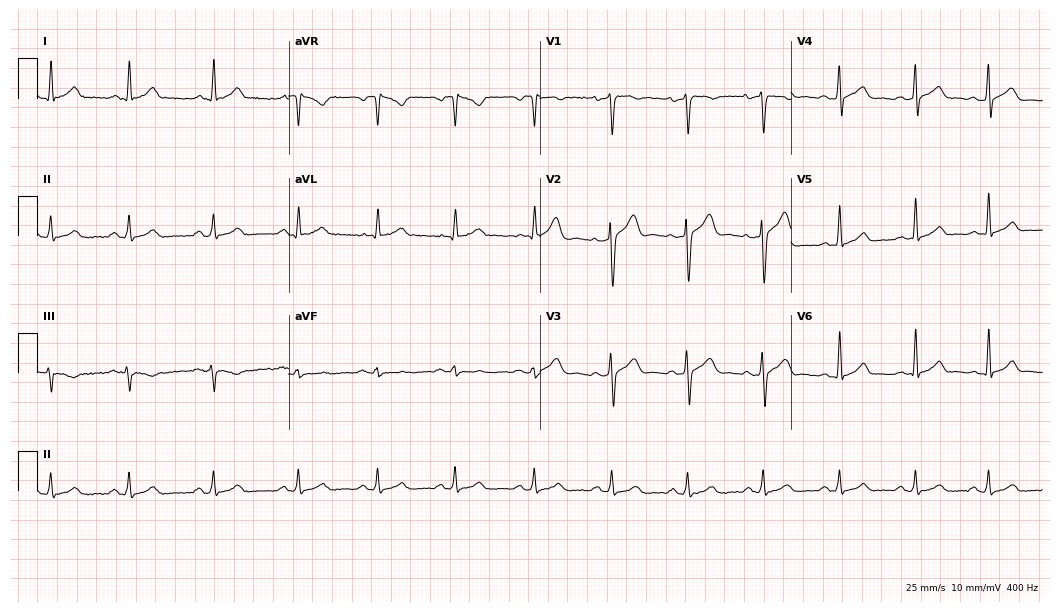
Standard 12-lead ECG recorded from a male, 39 years old. None of these six findings is recorded: first-degree AV block, right bundle branch block, left bundle branch block, sinus bradycardia, atrial fibrillation, sinus tachycardia.